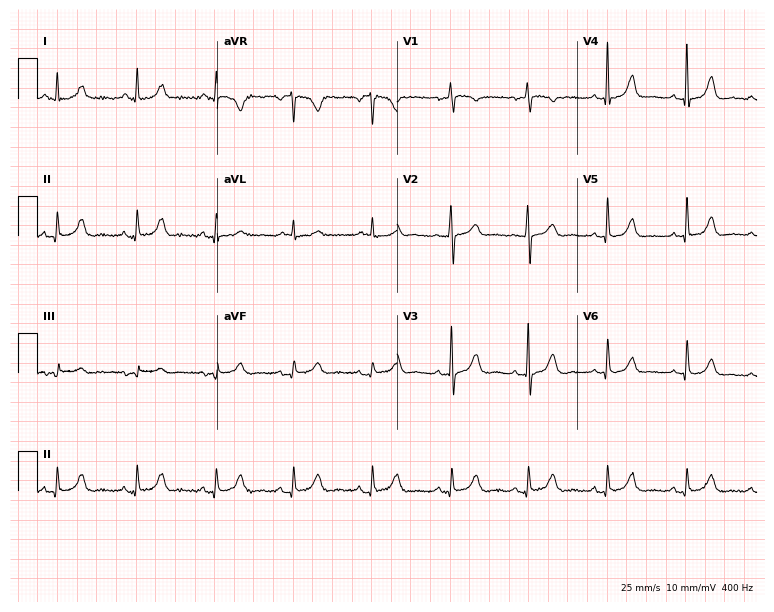
12-lead ECG from a 63-year-old male (7.3-second recording at 400 Hz). Recorded interpretation: within normal limits.